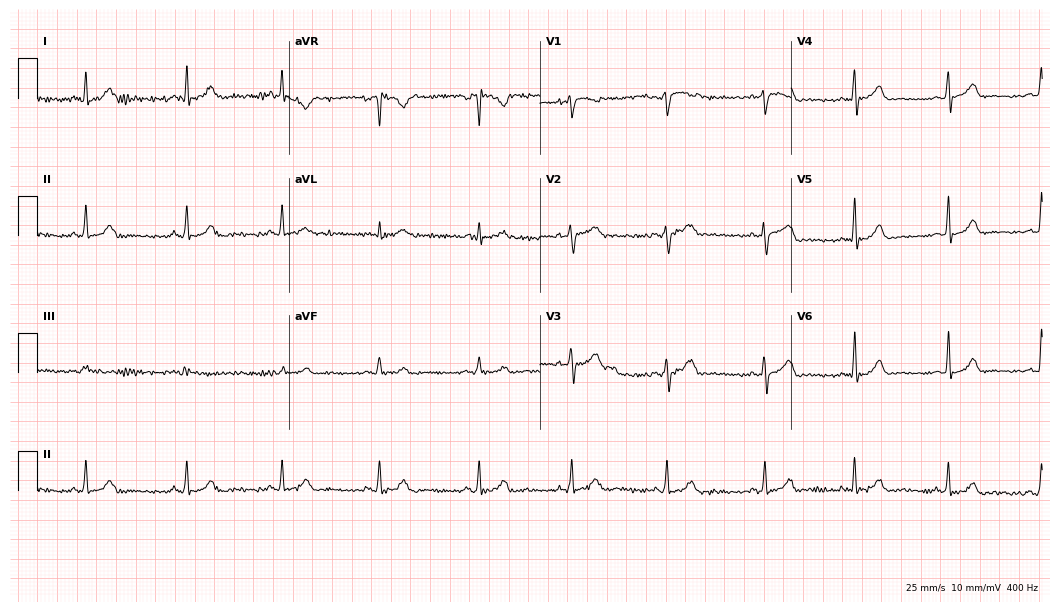
Resting 12-lead electrocardiogram. Patient: a 26-year-old female. Read as a normal ECG.